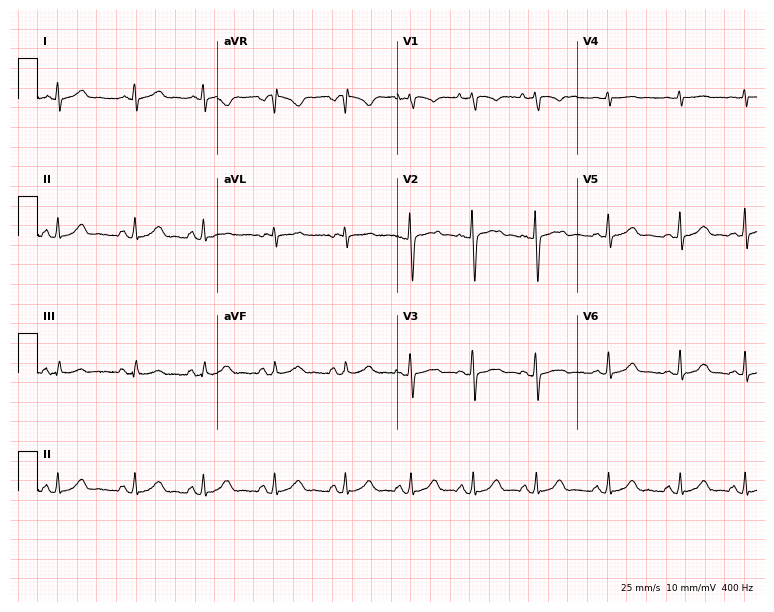
12-lead ECG (7.3-second recording at 400 Hz) from a female patient, 20 years old. Labelled as a normal ECG.